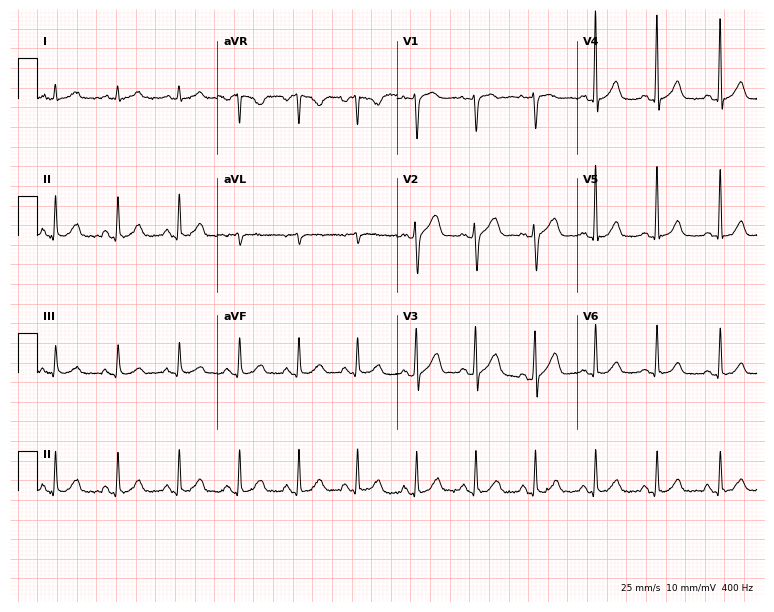
12-lead ECG (7.3-second recording at 400 Hz) from a 53-year-old female patient. Screened for six findings — first-degree AV block, right bundle branch block, left bundle branch block, sinus bradycardia, atrial fibrillation, sinus tachycardia — none is recorded. Other findings, if any, are not listed.